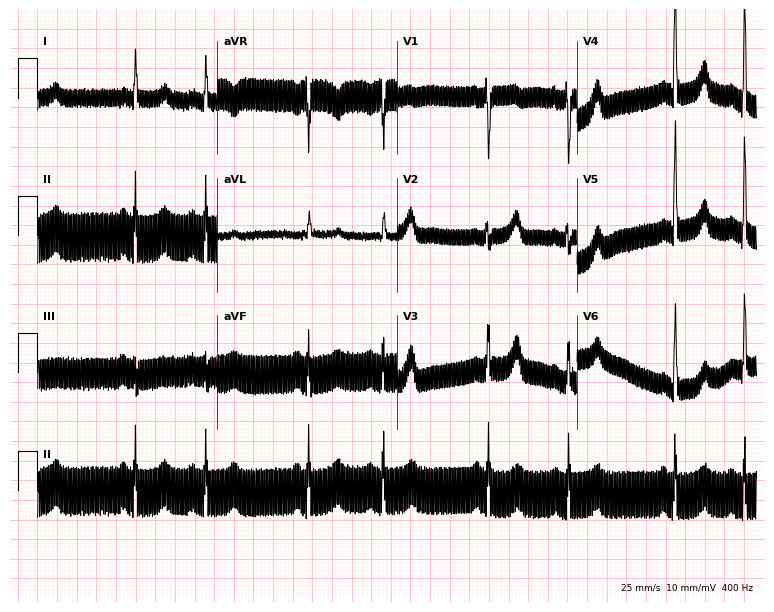
12-lead ECG from a 61-year-old woman. No first-degree AV block, right bundle branch block, left bundle branch block, sinus bradycardia, atrial fibrillation or sinus tachycardia recorded for this tracing.